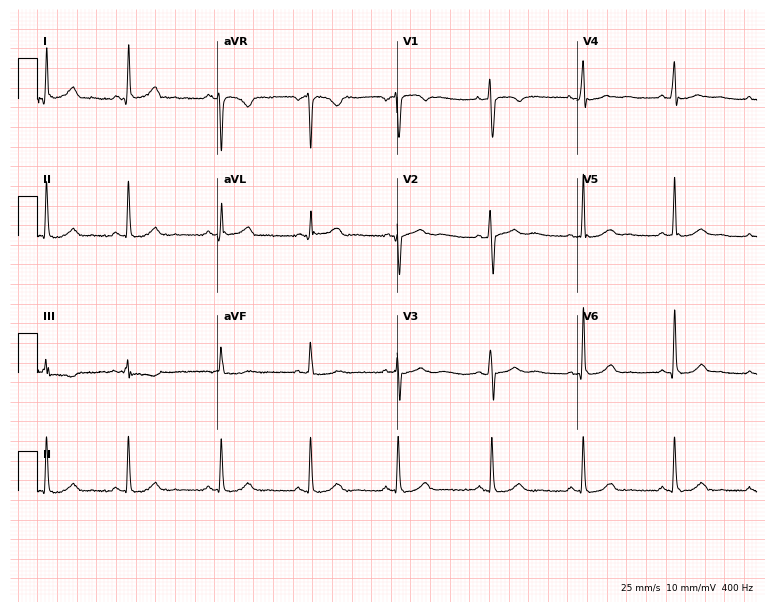
Resting 12-lead electrocardiogram (7.3-second recording at 400 Hz). Patient: a female, 32 years old. Read as a normal ECG.